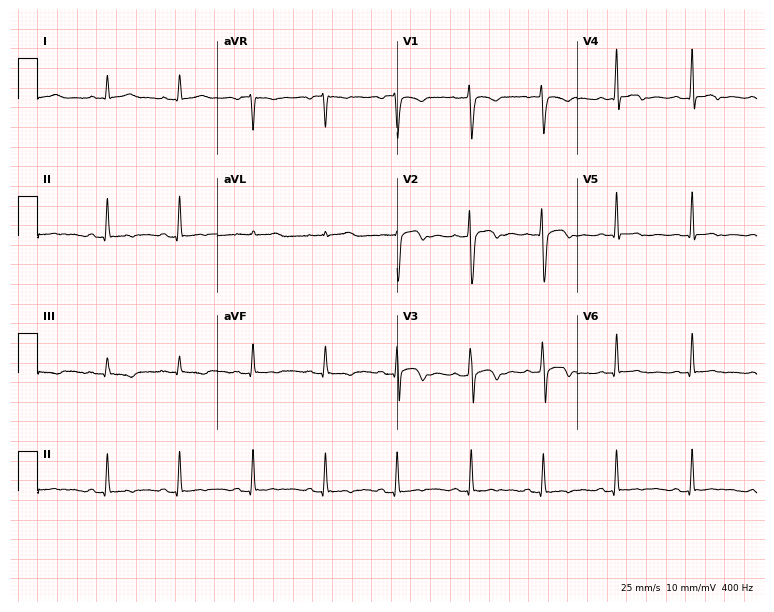
12-lead ECG from a 25-year-old woman (7.3-second recording at 400 Hz). No first-degree AV block, right bundle branch block, left bundle branch block, sinus bradycardia, atrial fibrillation or sinus tachycardia recorded for this tracing.